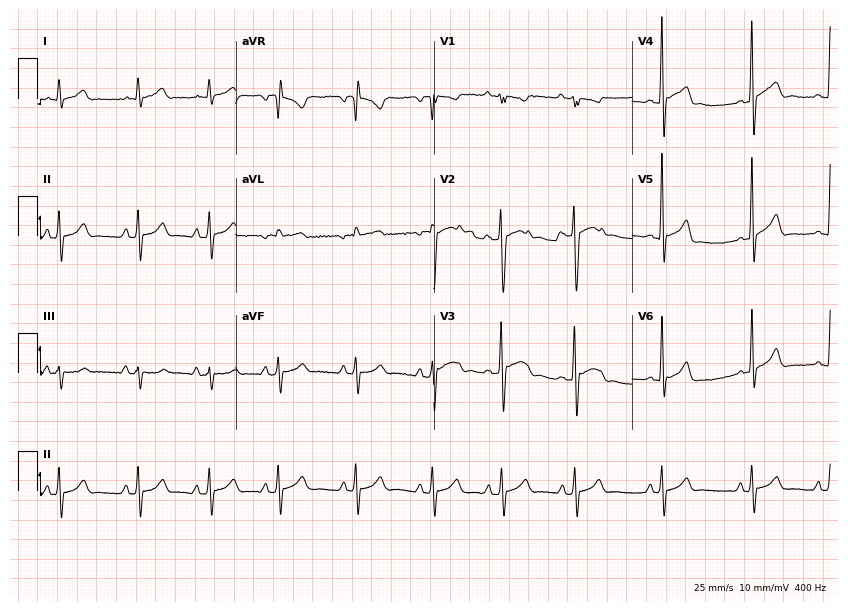
Electrocardiogram, a 17-year-old male. Overall reading on record: normal ECG.